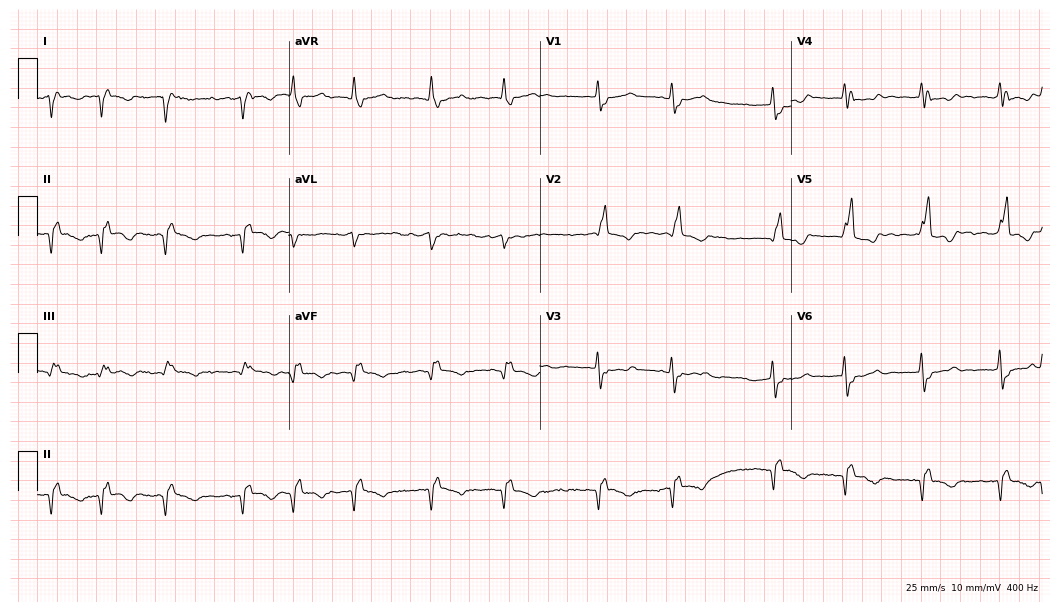
Electrocardiogram, an 82-year-old female patient. Of the six screened findings (first-degree AV block, right bundle branch block (RBBB), left bundle branch block (LBBB), sinus bradycardia, atrial fibrillation (AF), sinus tachycardia), none is recorded.